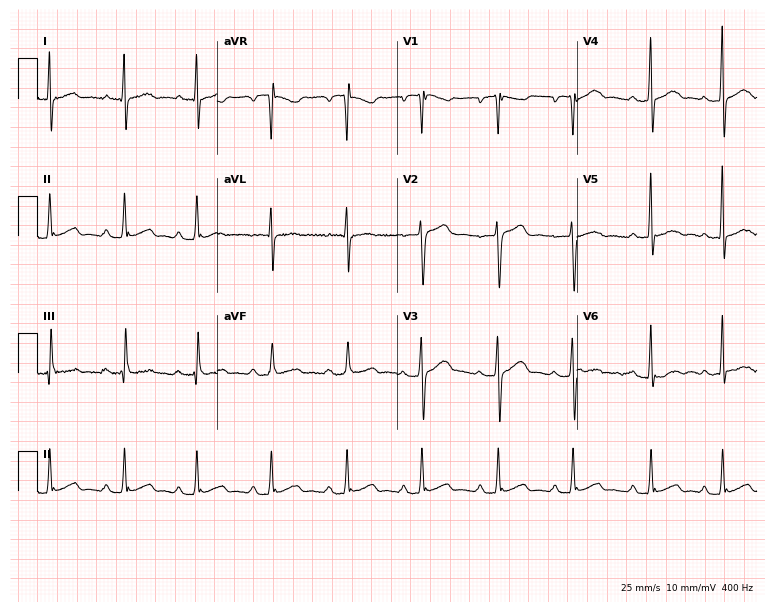
Electrocardiogram, a 43-year-old male. Overall reading on record: normal ECG.